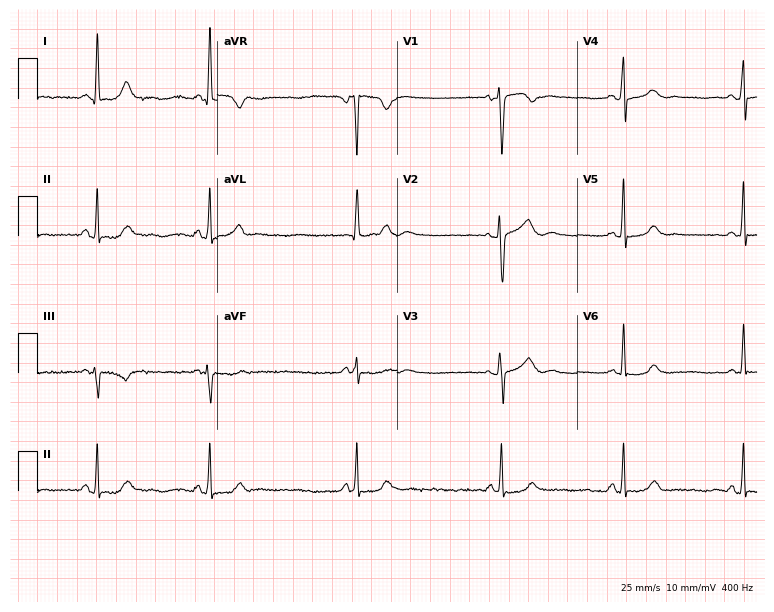
12-lead ECG from a 31-year-old woman. Shows sinus bradycardia (a sinus rate of 50 beats per minute or less).